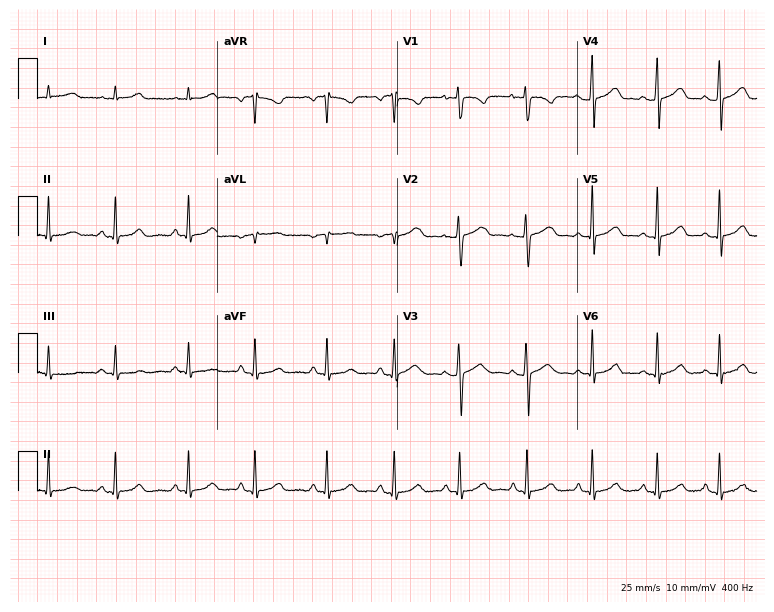
Electrocardiogram, a woman, 28 years old. Overall reading on record: normal ECG.